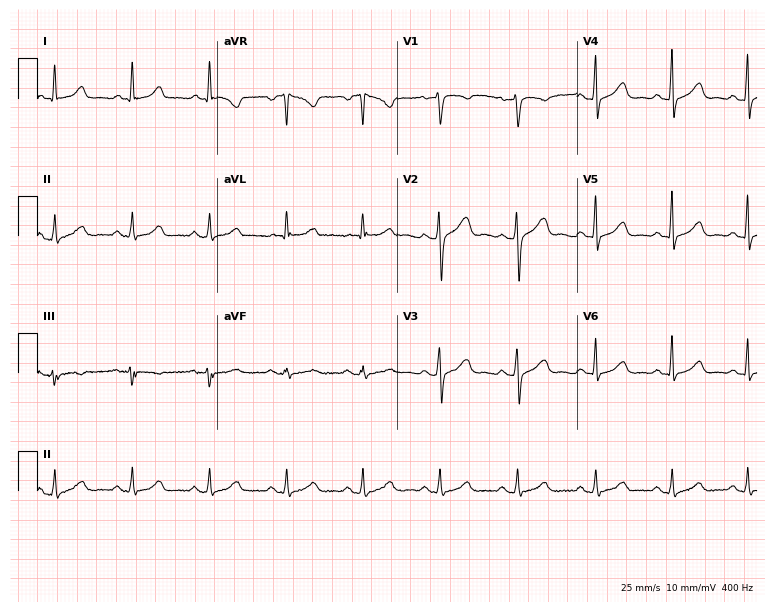
12-lead ECG (7.3-second recording at 400 Hz) from a female patient, 47 years old. Screened for six findings — first-degree AV block, right bundle branch block, left bundle branch block, sinus bradycardia, atrial fibrillation, sinus tachycardia — none is recorded.